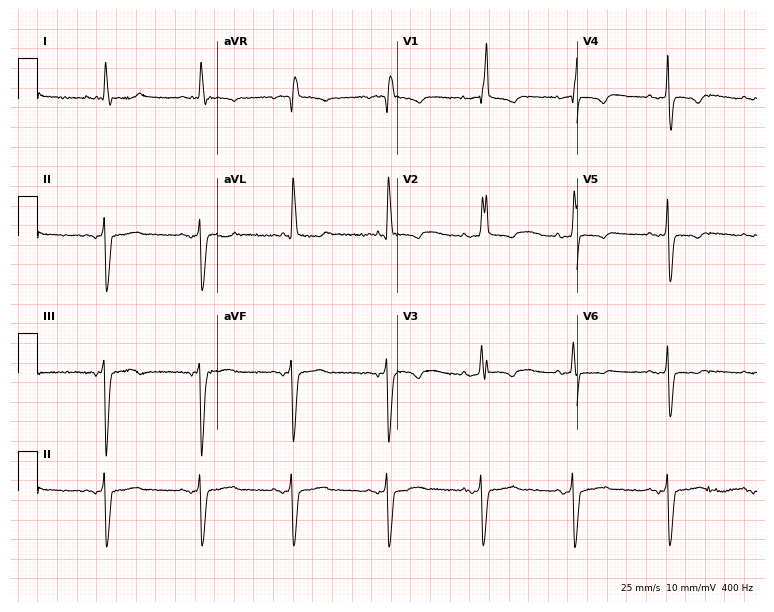
Resting 12-lead electrocardiogram. Patient: a woman, 75 years old. The tracing shows right bundle branch block (RBBB).